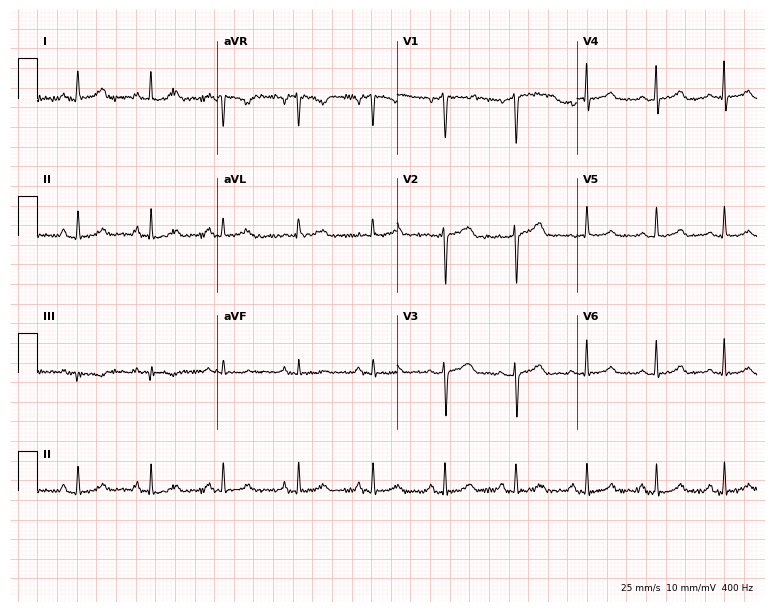
12-lead ECG from a female patient, 47 years old. No first-degree AV block, right bundle branch block, left bundle branch block, sinus bradycardia, atrial fibrillation or sinus tachycardia recorded for this tracing. Findings outside these six are not listed.